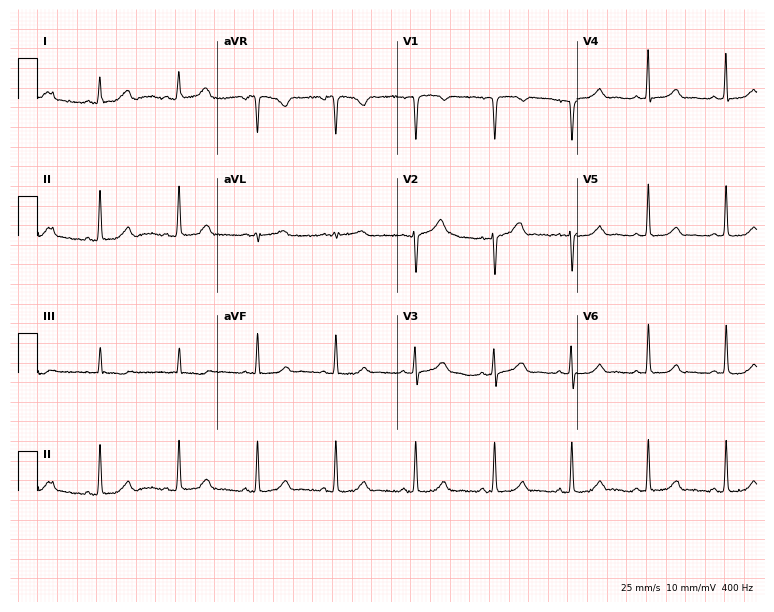
Electrocardiogram (7.3-second recording at 400 Hz), a woman, 42 years old. Overall reading on record: normal ECG.